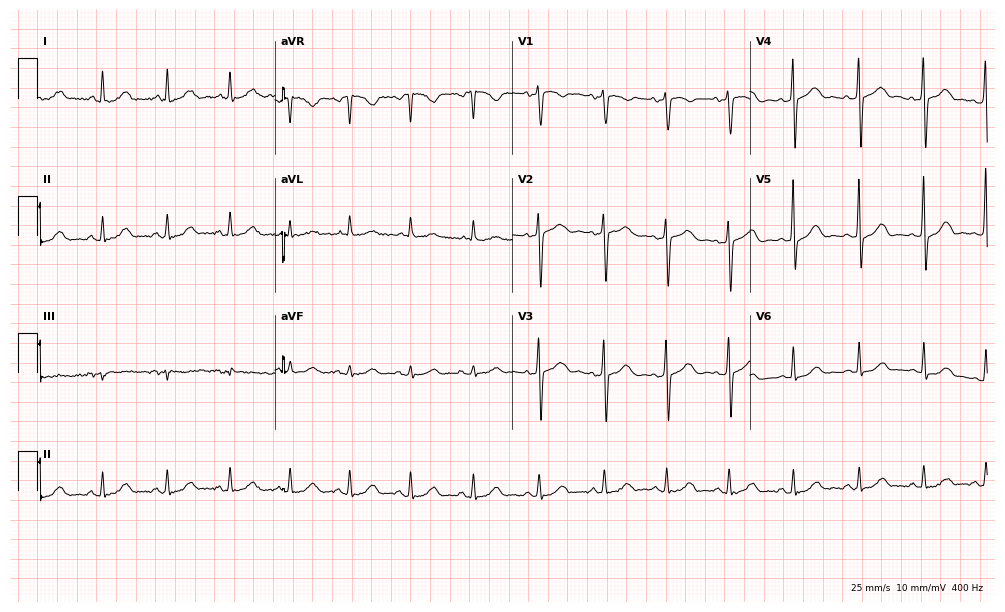
12-lead ECG from a female, 60 years old. Recorded interpretation: within normal limits.